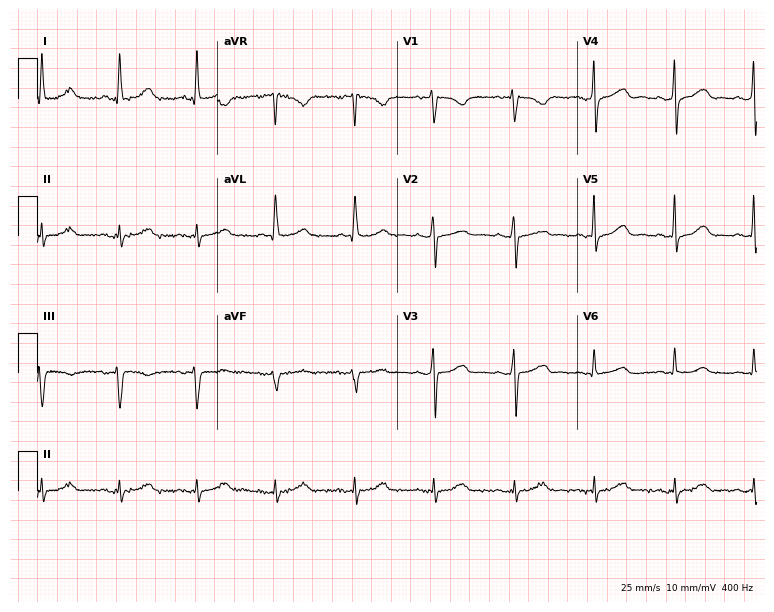
12-lead ECG from a 73-year-old female (7.3-second recording at 400 Hz). No first-degree AV block, right bundle branch block (RBBB), left bundle branch block (LBBB), sinus bradycardia, atrial fibrillation (AF) or sinus tachycardia recorded for this tracing. Other findings, if any, are not listed.